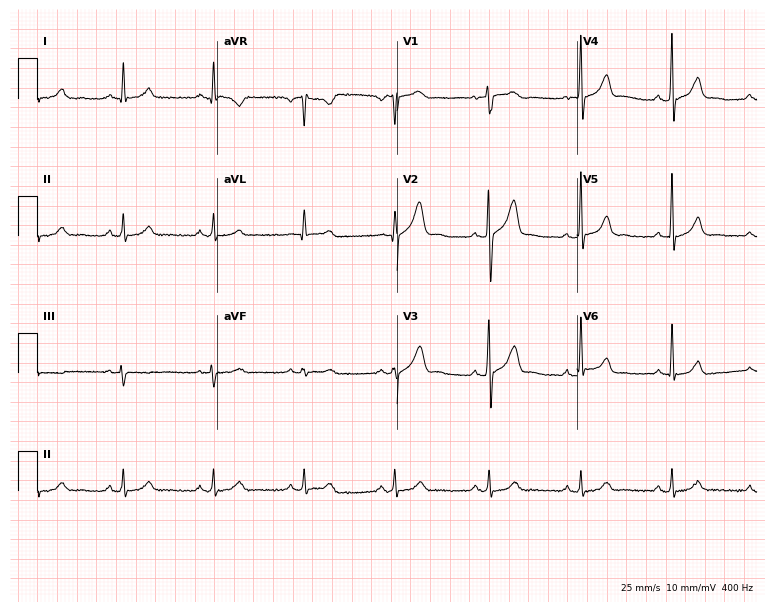
Resting 12-lead electrocardiogram (7.3-second recording at 400 Hz). Patient: a 51-year-old man. Read as a normal ECG.